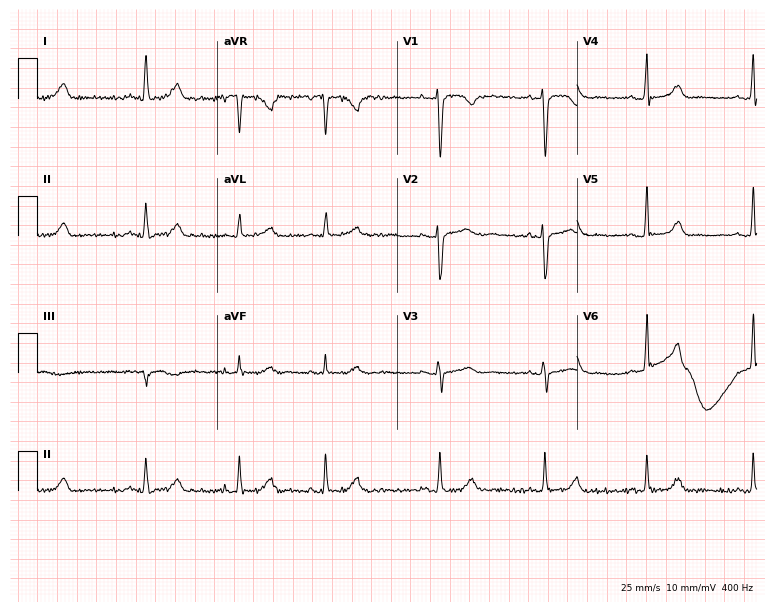
Electrocardiogram, a 31-year-old female patient. Of the six screened findings (first-degree AV block, right bundle branch block, left bundle branch block, sinus bradycardia, atrial fibrillation, sinus tachycardia), none is recorded. Other findings, if any, are not listed.